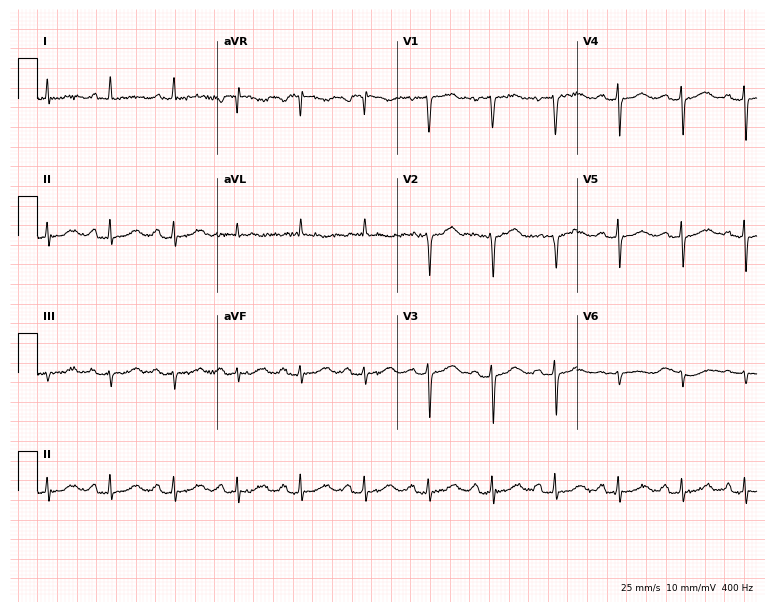
12-lead ECG from a 60-year-old female patient. Screened for six findings — first-degree AV block, right bundle branch block (RBBB), left bundle branch block (LBBB), sinus bradycardia, atrial fibrillation (AF), sinus tachycardia — none is recorded.